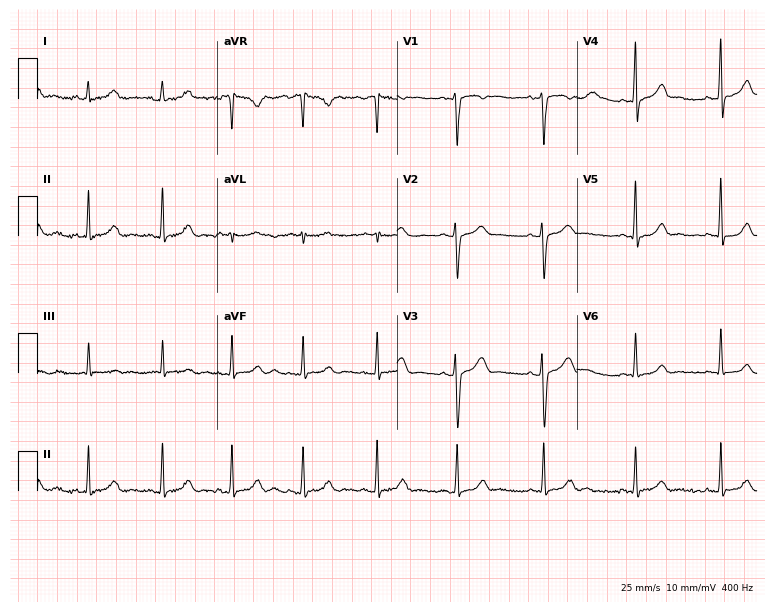
12-lead ECG from a 43-year-old female. Labelled as a normal ECG.